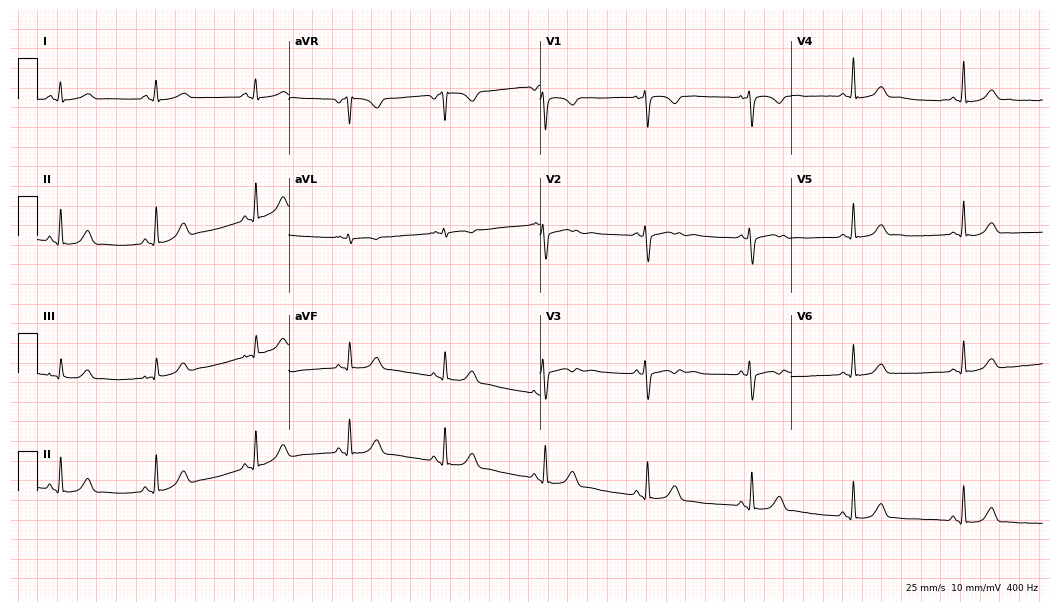
Electrocardiogram, a female, 27 years old. Of the six screened findings (first-degree AV block, right bundle branch block, left bundle branch block, sinus bradycardia, atrial fibrillation, sinus tachycardia), none is recorded. Only these six findings were labelled.